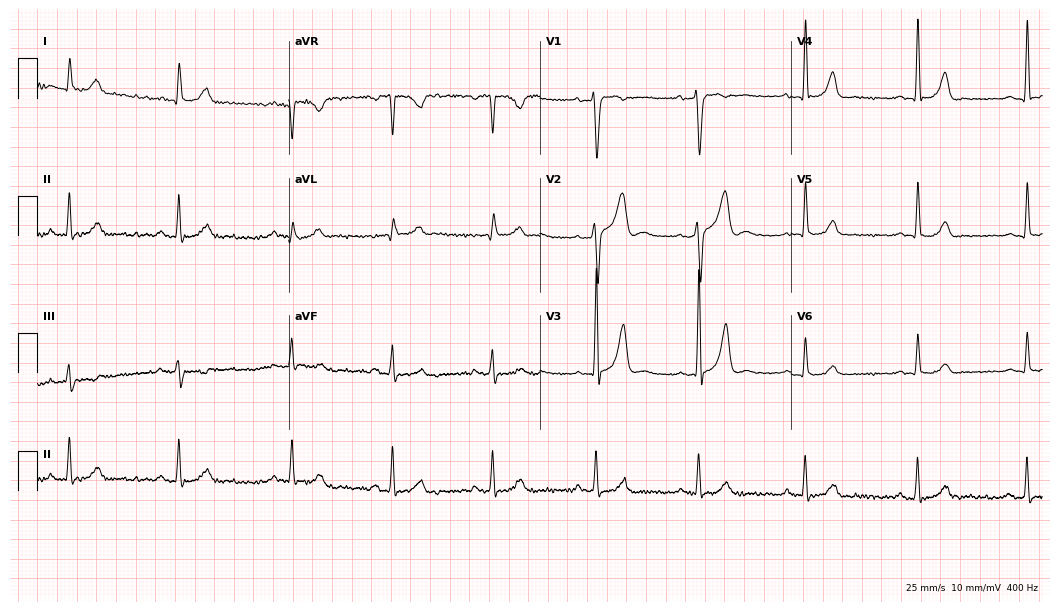
12-lead ECG from a 47-year-old male patient. Recorded interpretation: within normal limits.